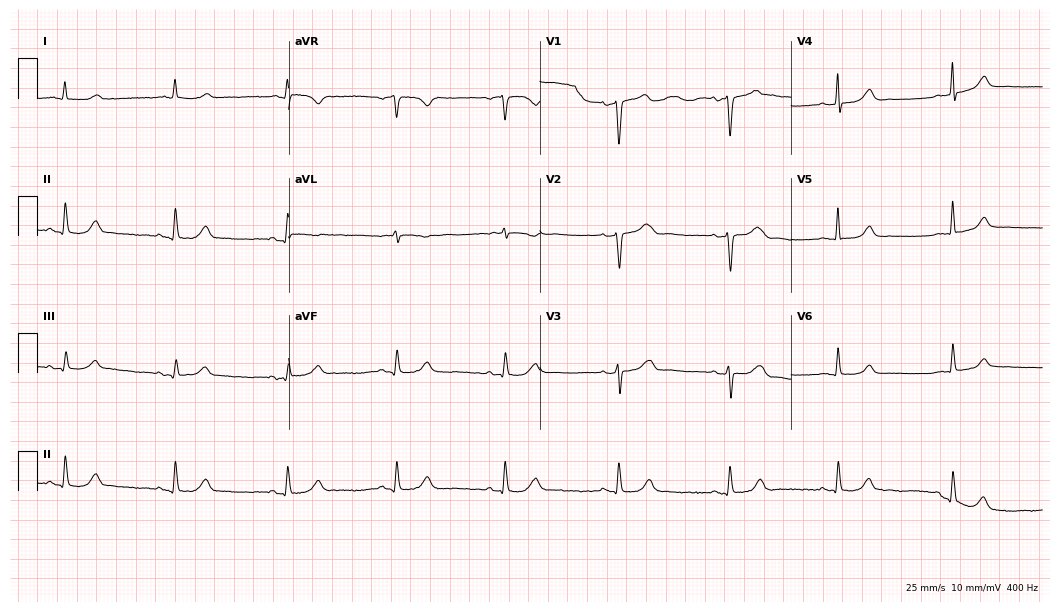
12-lead ECG (10.2-second recording at 400 Hz) from a woman, 72 years old. Screened for six findings — first-degree AV block, right bundle branch block (RBBB), left bundle branch block (LBBB), sinus bradycardia, atrial fibrillation (AF), sinus tachycardia — none is recorded.